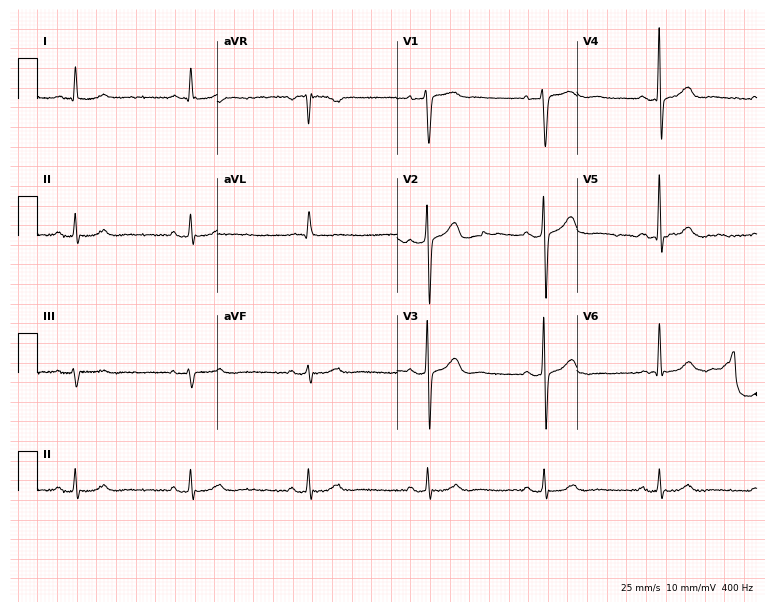
12-lead ECG from a 76-year-old male patient. Labelled as a normal ECG.